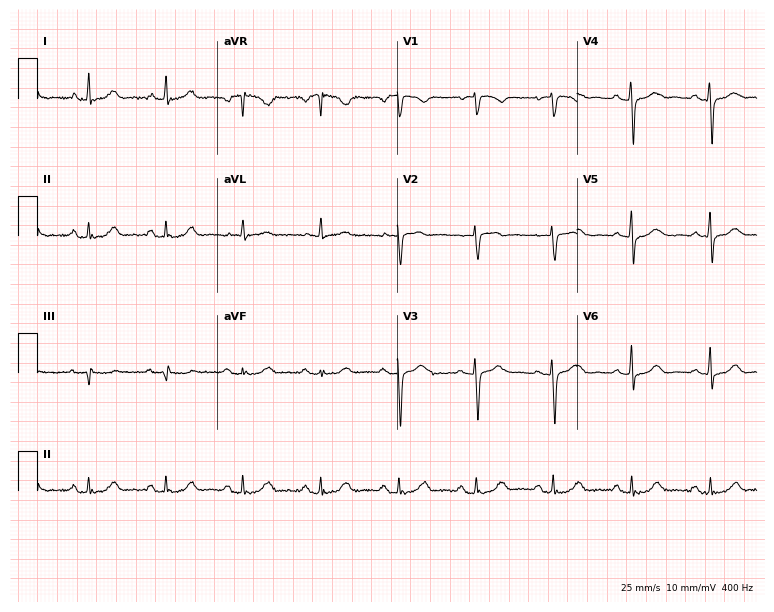
Resting 12-lead electrocardiogram (7.3-second recording at 400 Hz). Patient: a female, 57 years old. None of these six findings is recorded: first-degree AV block, right bundle branch block, left bundle branch block, sinus bradycardia, atrial fibrillation, sinus tachycardia.